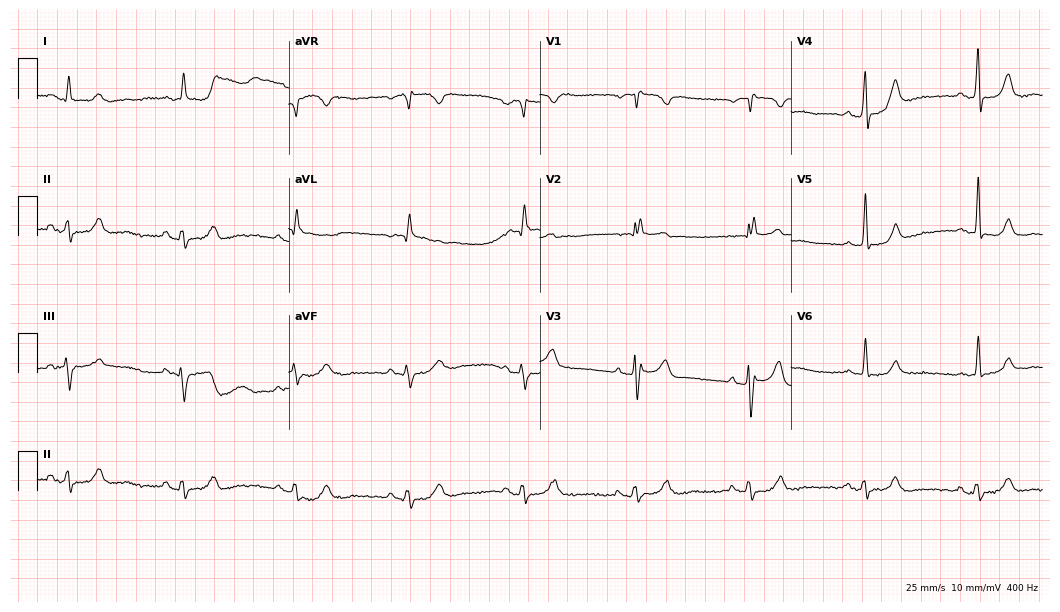
12-lead ECG from a 76-year-old man. Findings include right bundle branch block.